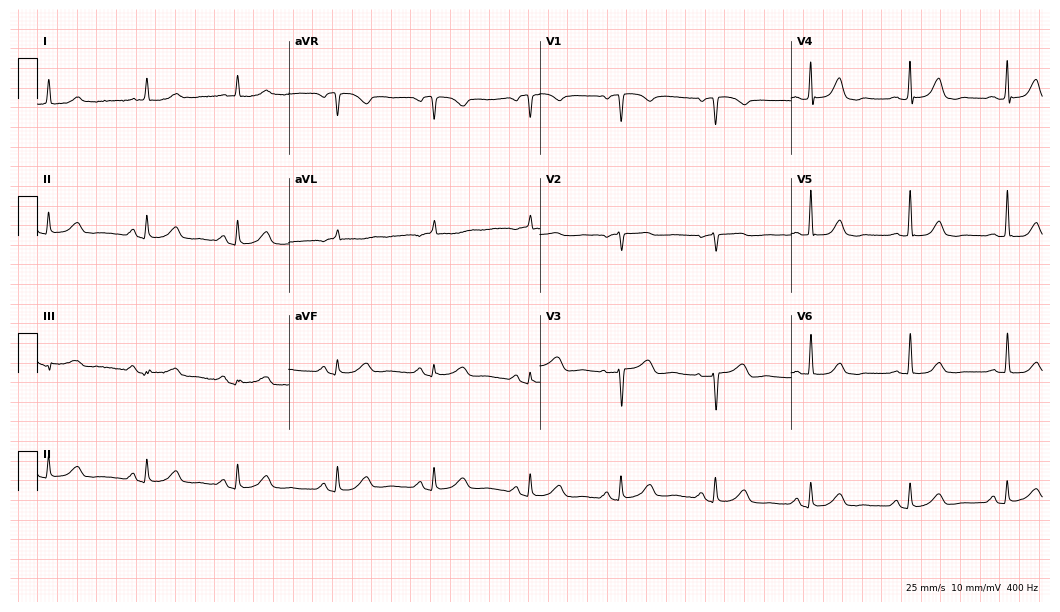
Resting 12-lead electrocardiogram (10.2-second recording at 400 Hz). Patient: a female, 84 years old. Read as a normal ECG.